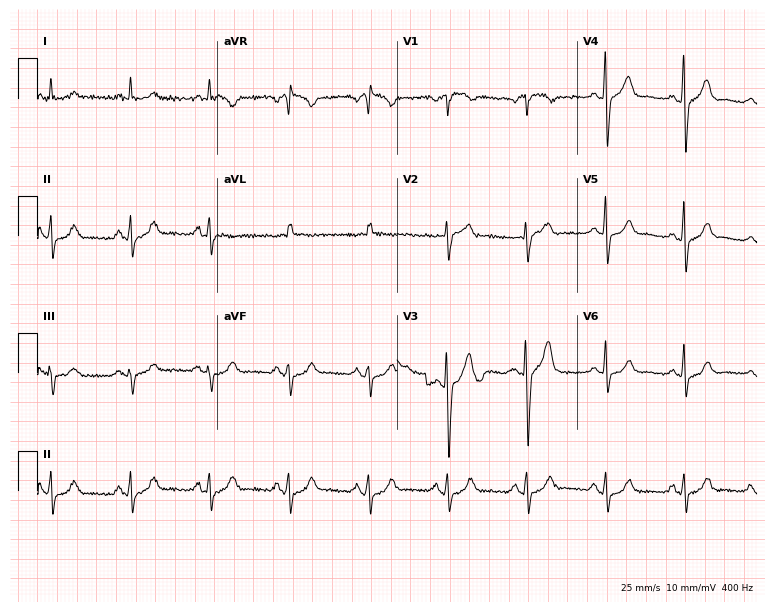
Resting 12-lead electrocardiogram. Patient: a 73-year-old man. None of these six findings is recorded: first-degree AV block, right bundle branch block, left bundle branch block, sinus bradycardia, atrial fibrillation, sinus tachycardia. Only these six findings were labelled.